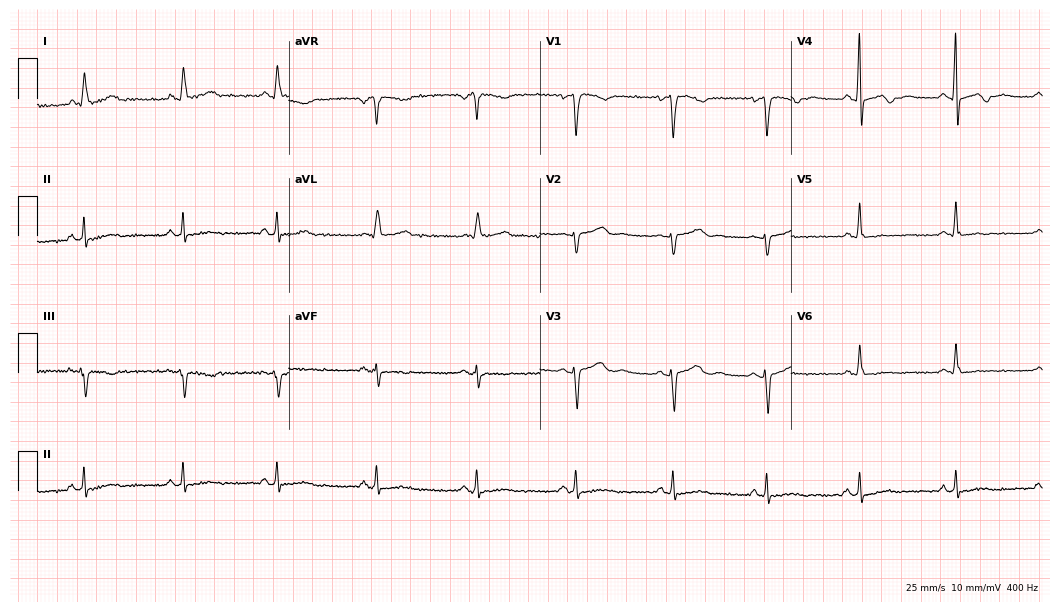
12-lead ECG (10.2-second recording at 400 Hz) from a 47-year-old female patient. Screened for six findings — first-degree AV block, right bundle branch block, left bundle branch block, sinus bradycardia, atrial fibrillation, sinus tachycardia — none is recorded. Only these six findings were labelled.